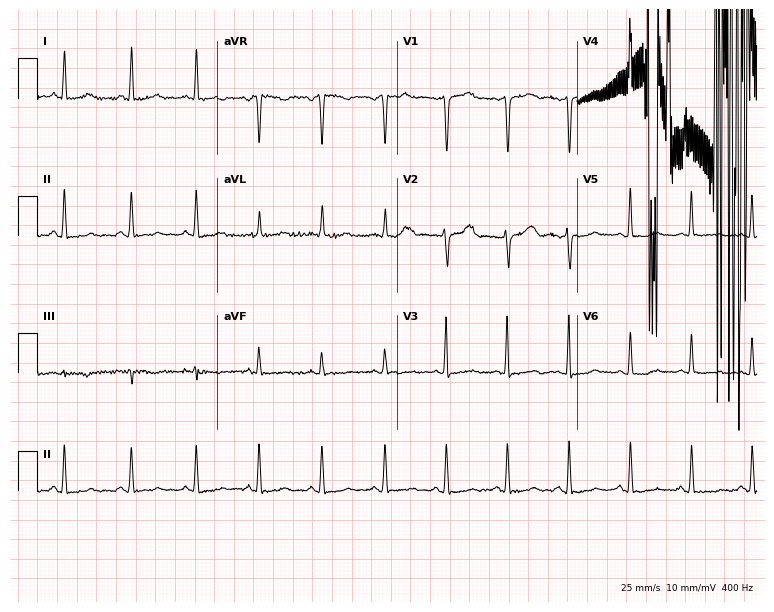
ECG — a 48-year-old female patient. Screened for six findings — first-degree AV block, right bundle branch block (RBBB), left bundle branch block (LBBB), sinus bradycardia, atrial fibrillation (AF), sinus tachycardia — none is recorded. Only these six findings were labelled.